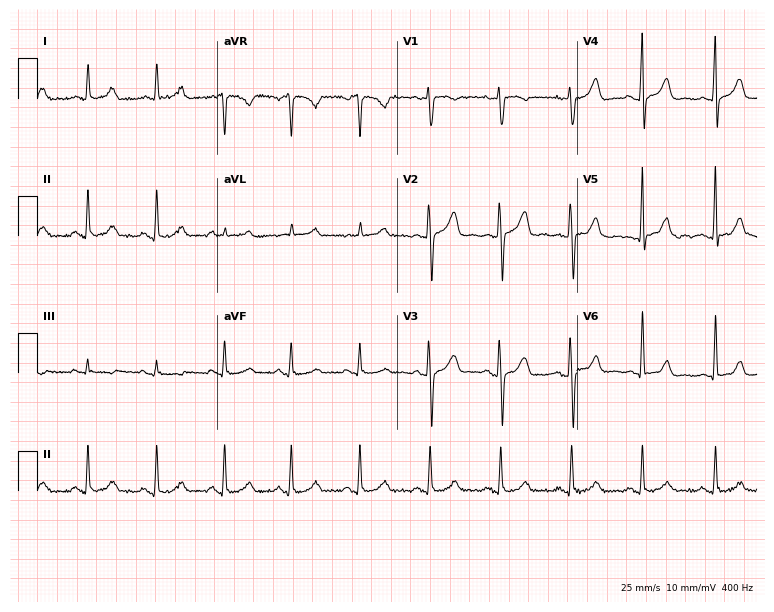
Standard 12-lead ECG recorded from a female patient, 45 years old. Read as a normal ECG.